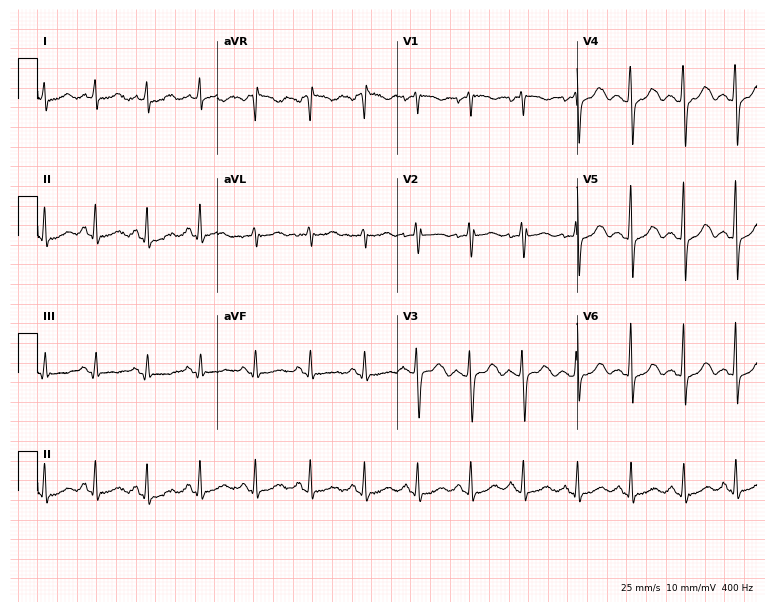
12-lead ECG from a 43-year-old woman (7.3-second recording at 400 Hz). Shows sinus tachycardia (a sinus rate of 100 beats per minute or more).